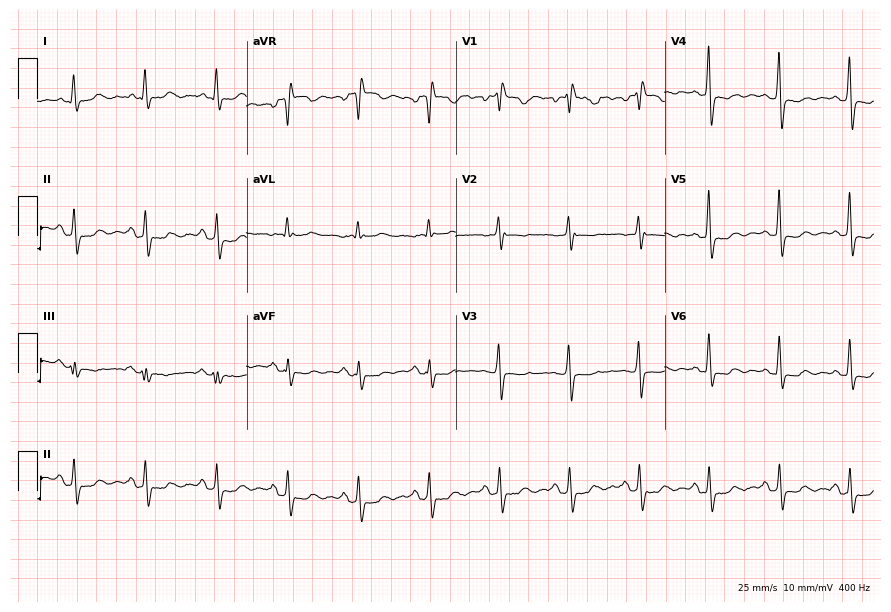
12-lead ECG from a woman, 49 years old. Screened for six findings — first-degree AV block, right bundle branch block (RBBB), left bundle branch block (LBBB), sinus bradycardia, atrial fibrillation (AF), sinus tachycardia — none is recorded. Only these six findings were labelled.